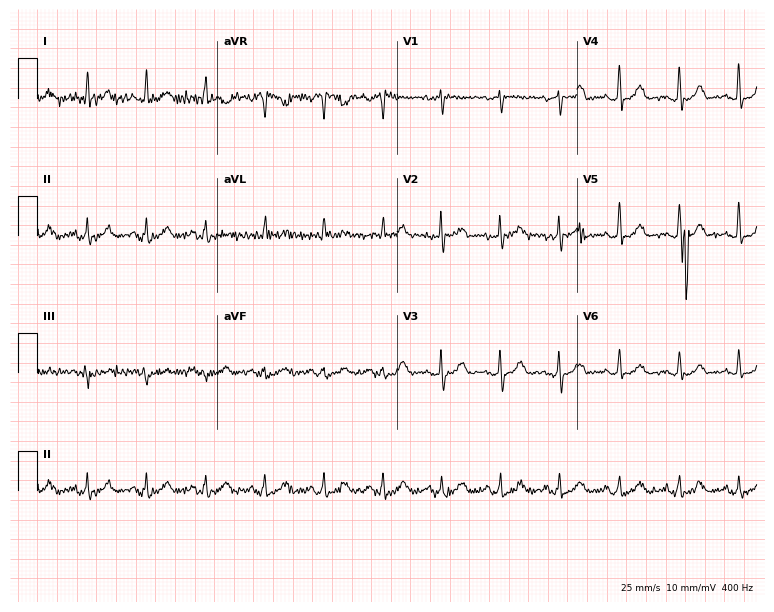
ECG — a woman, 59 years old. Screened for six findings — first-degree AV block, right bundle branch block, left bundle branch block, sinus bradycardia, atrial fibrillation, sinus tachycardia — none is recorded.